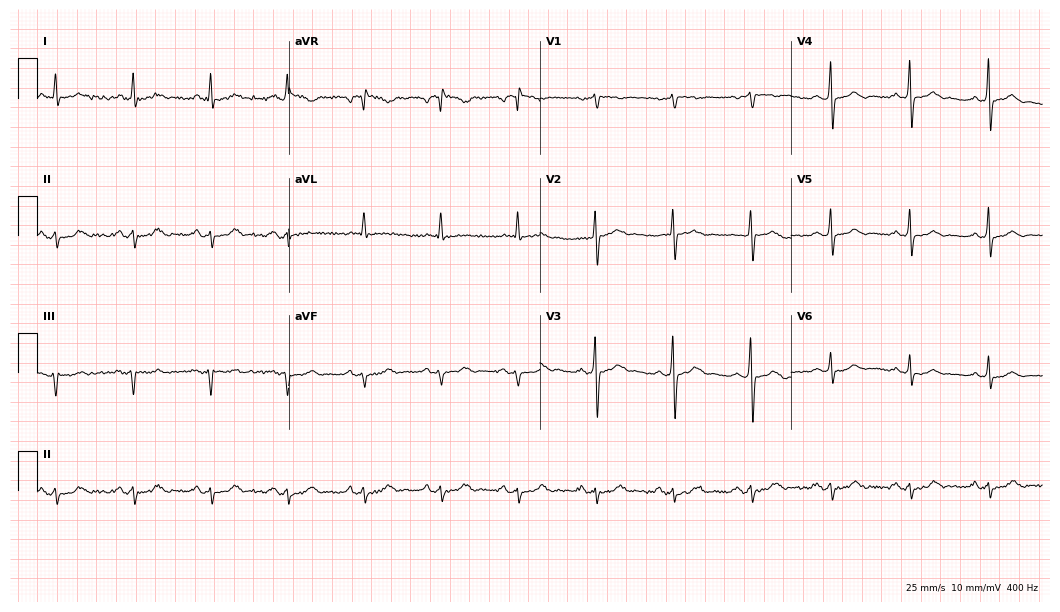
Resting 12-lead electrocardiogram (10.2-second recording at 400 Hz). Patient: a 65-year-old male. None of these six findings is recorded: first-degree AV block, right bundle branch block, left bundle branch block, sinus bradycardia, atrial fibrillation, sinus tachycardia.